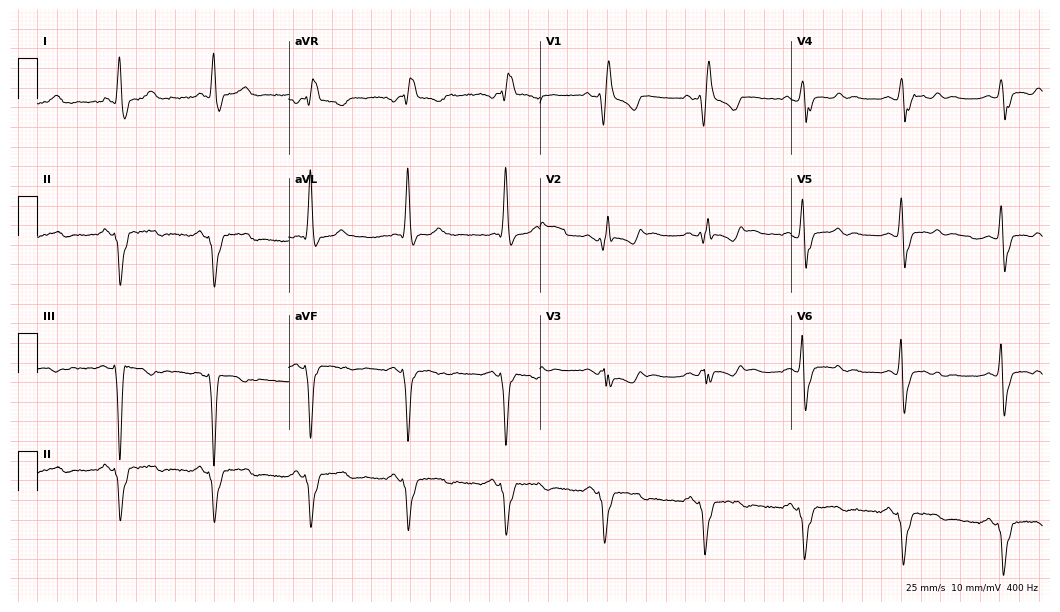
12-lead ECG from a male patient, 53 years old. Shows right bundle branch block.